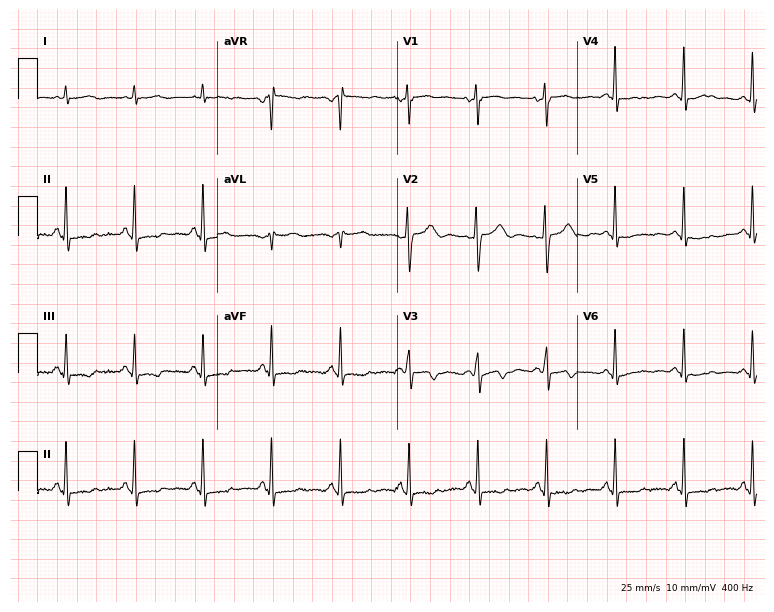
Standard 12-lead ECG recorded from a female patient, 35 years old. None of these six findings is recorded: first-degree AV block, right bundle branch block (RBBB), left bundle branch block (LBBB), sinus bradycardia, atrial fibrillation (AF), sinus tachycardia. Findings outside these six are not listed.